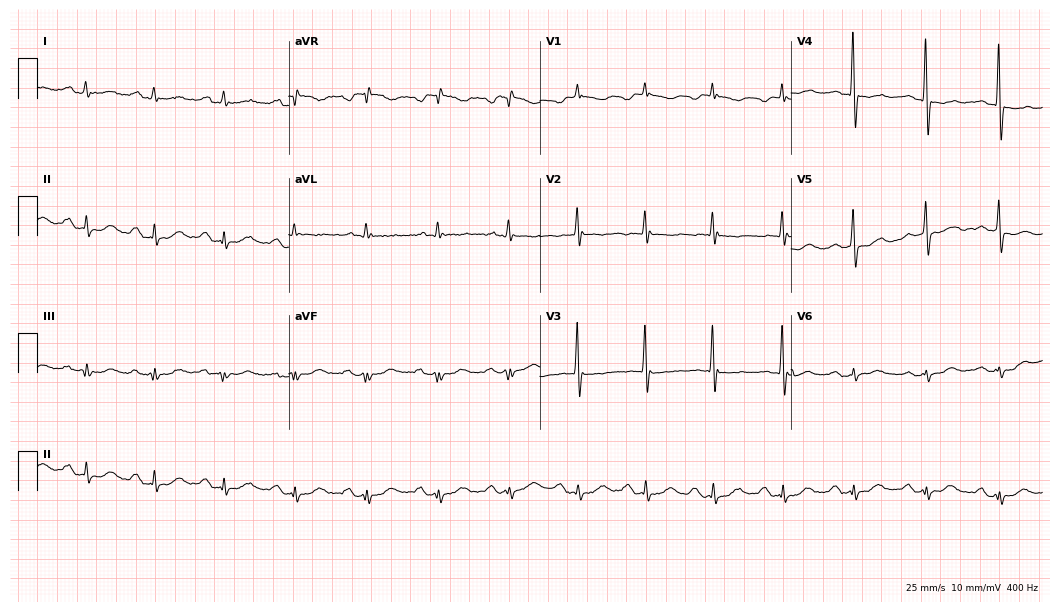
Standard 12-lead ECG recorded from a 63-year-old woman (10.2-second recording at 400 Hz). The tracing shows first-degree AV block.